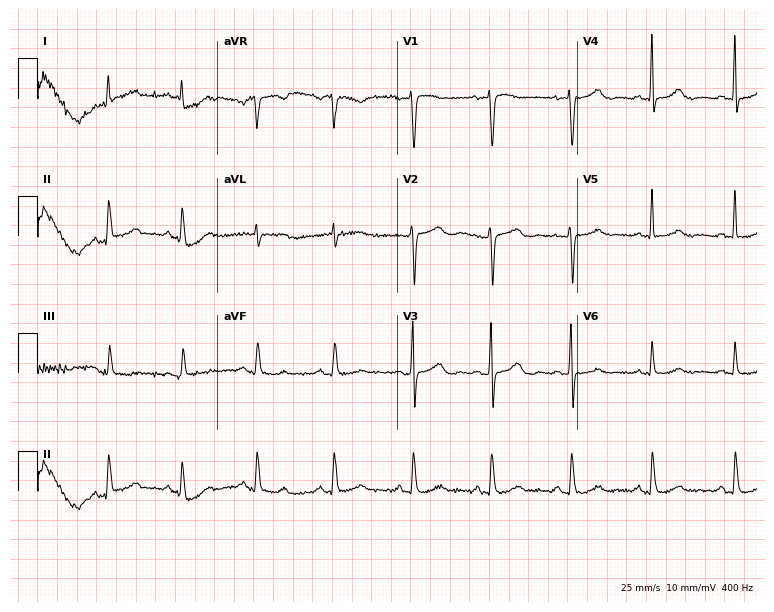
ECG — a 74-year-old female patient. Labelled as a normal ECG.